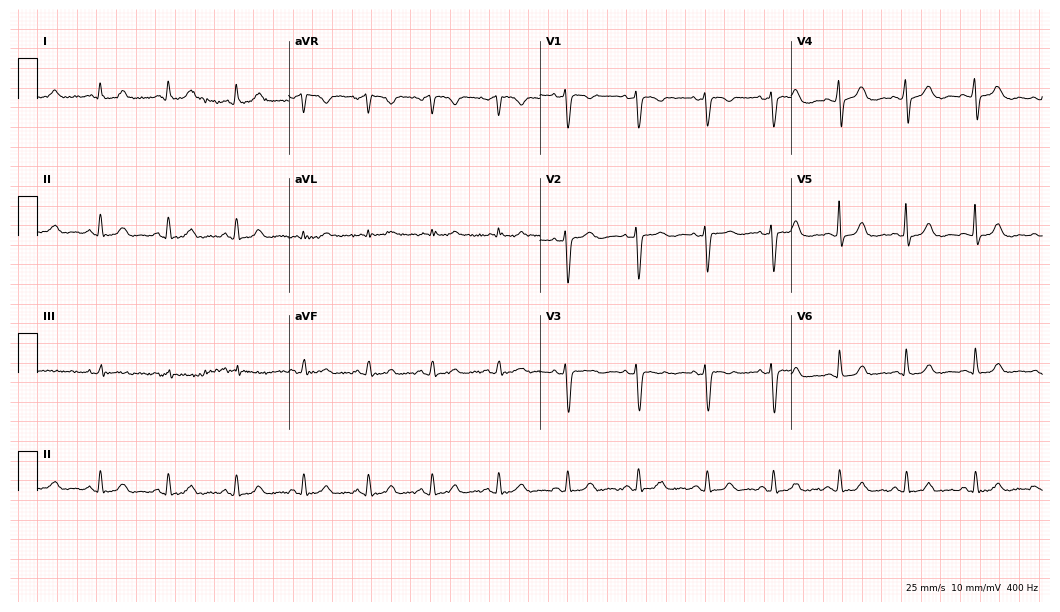
12-lead ECG from a woman, 45 years old. Labelled as a normal ECG.